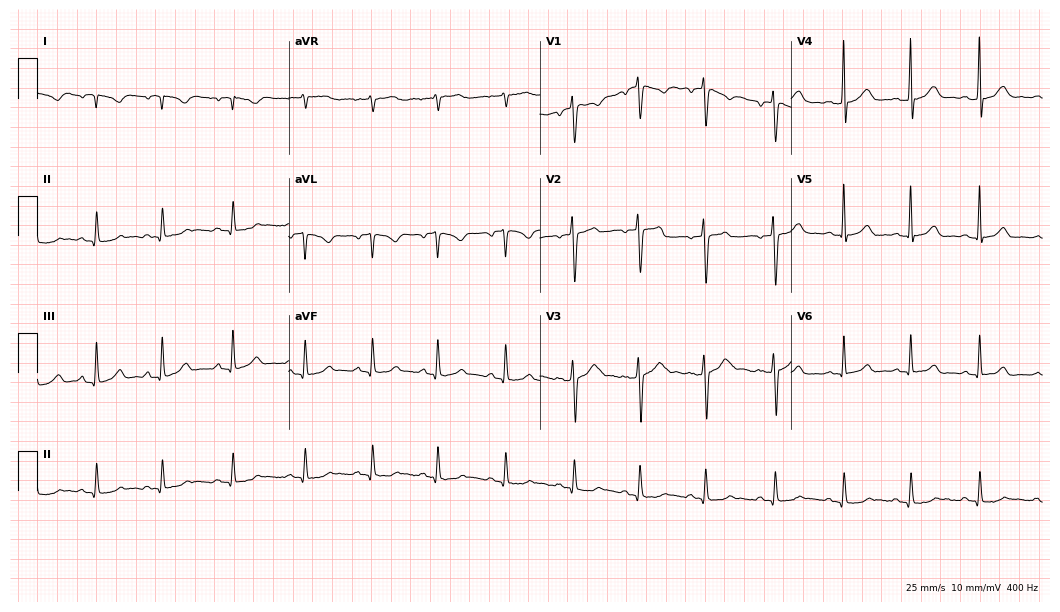
12-lead ECG from a 17-year-old female. Recorded interpretation: within normal limits.